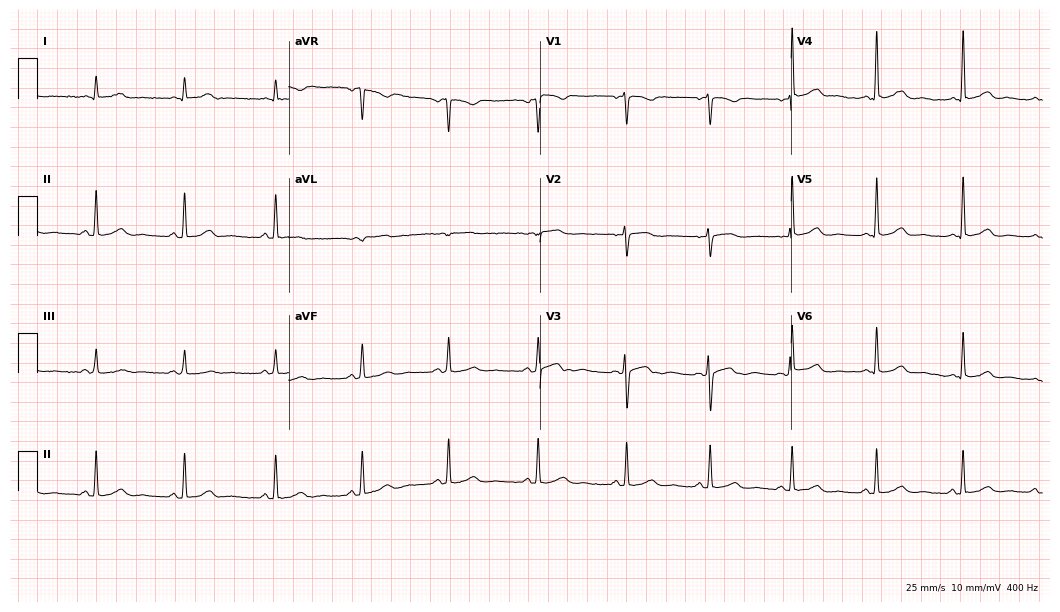
12-lead ECG from a woman, 43 years old. Recorded interpretation: within normal limits.